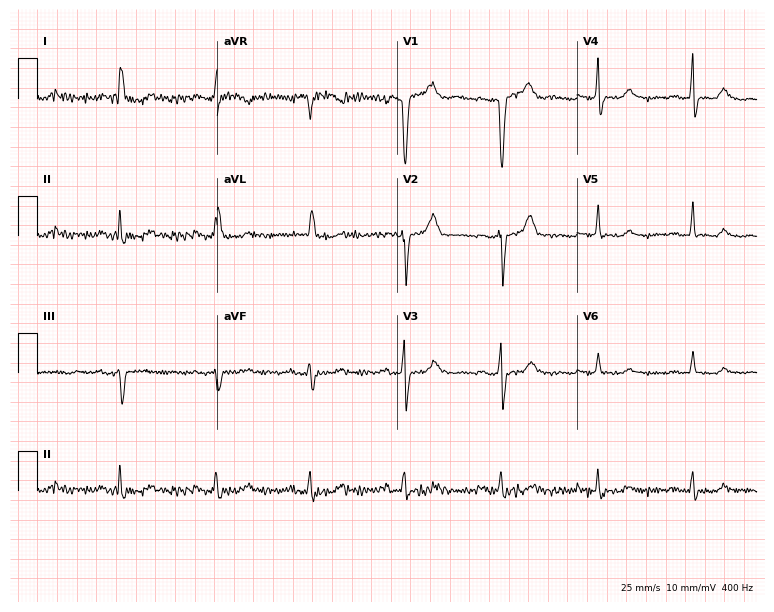
Resting 12-lead electrocardiogram. Patient: a female, 76 years old. None of these six findings is recorded: first-degree AV block, right bundle branch block, left bundle branch block, sinus bradycardia, atrial fibrillation, sinus tachycardia. Findings outside these six are not listed.